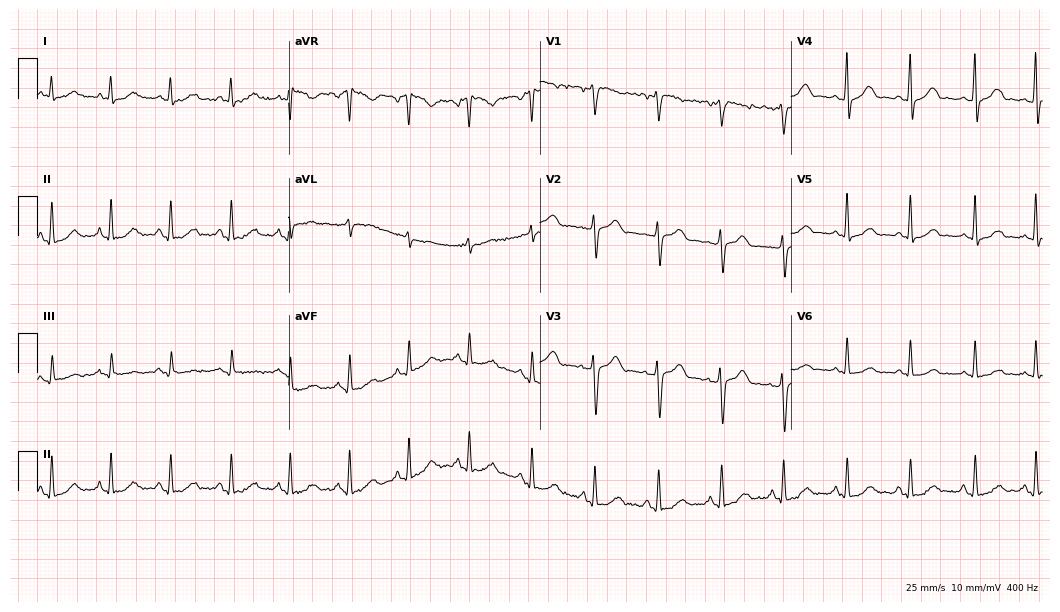
ECG — a 55-year-old woman. Labelled as a normal ECG.